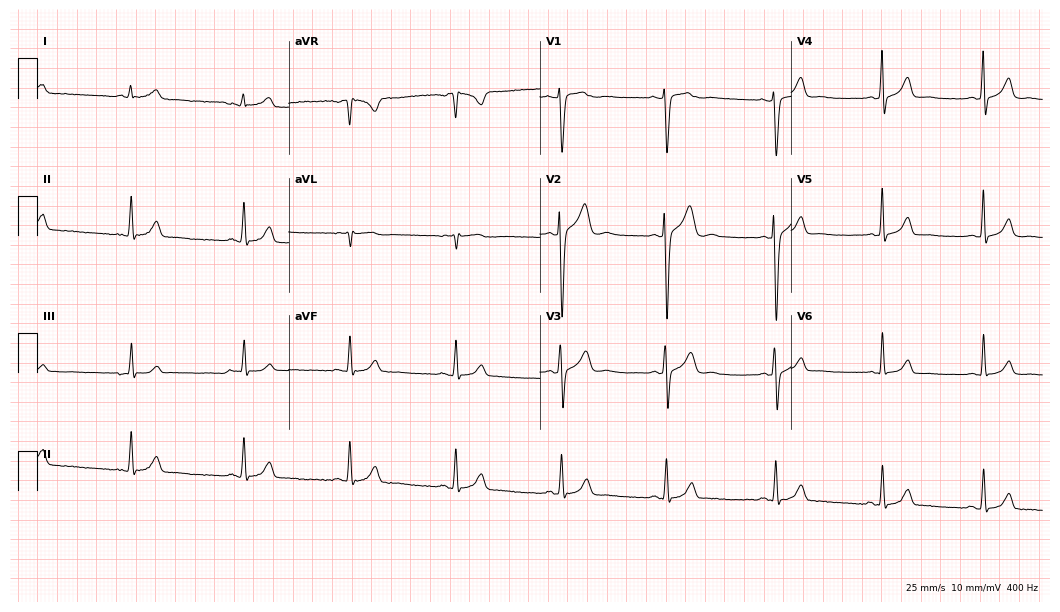
12-lead ECG from a 33-year-old male patient (10.2-second recording at 400 Hz). Recorded interpretation: within normal limits.